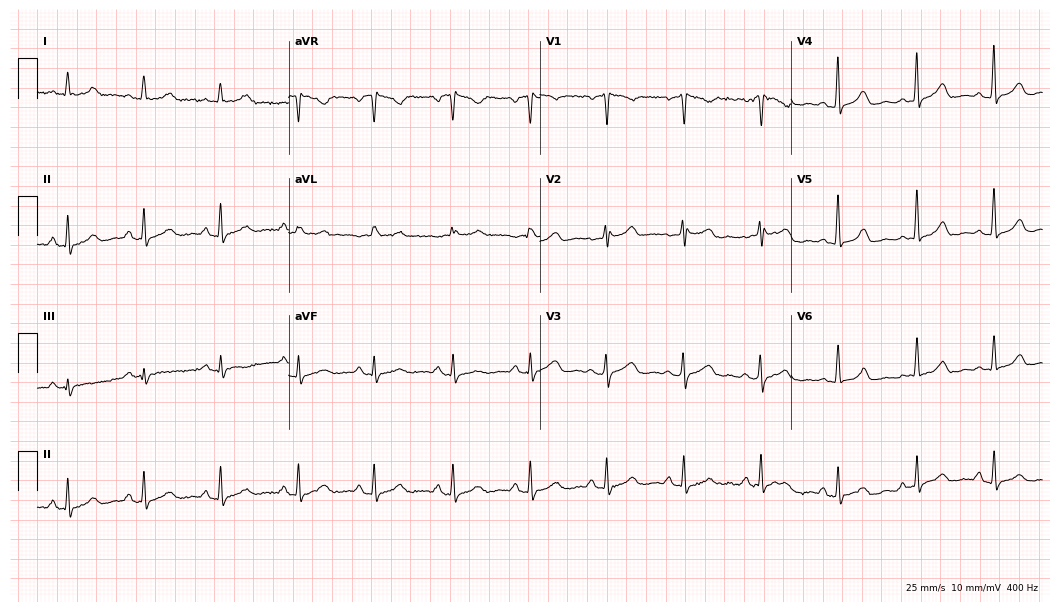
ECG (10.2-second recording at 400 Hz) — a 45-year-old woman. Labelled as a normal ECG.